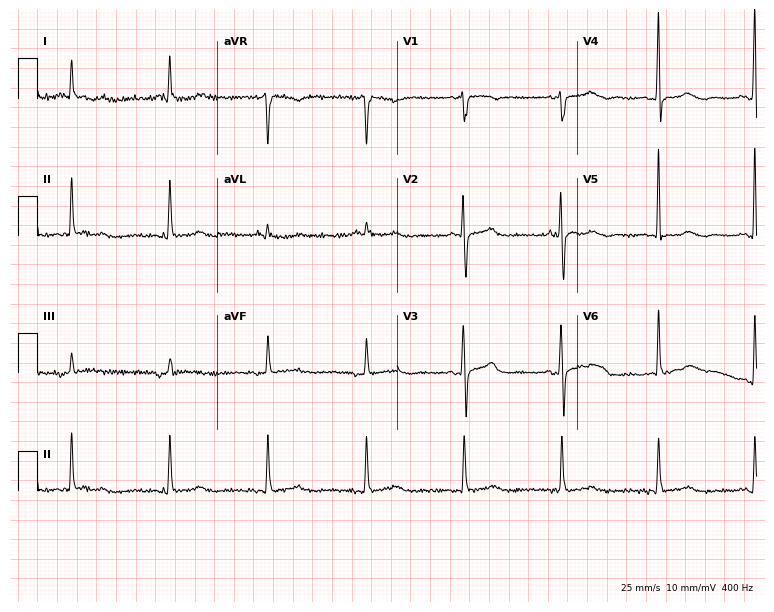
ECG (7.3-second recording at 400 Hz) — a 78-year-old female. Screened for six findings — first-degree AV block, right bundle branch block (RBBB), left bundle branch block (LBBB), sinus bradycardia, atrial fibrillation (AF), sinus tachycardia — none is recorded.